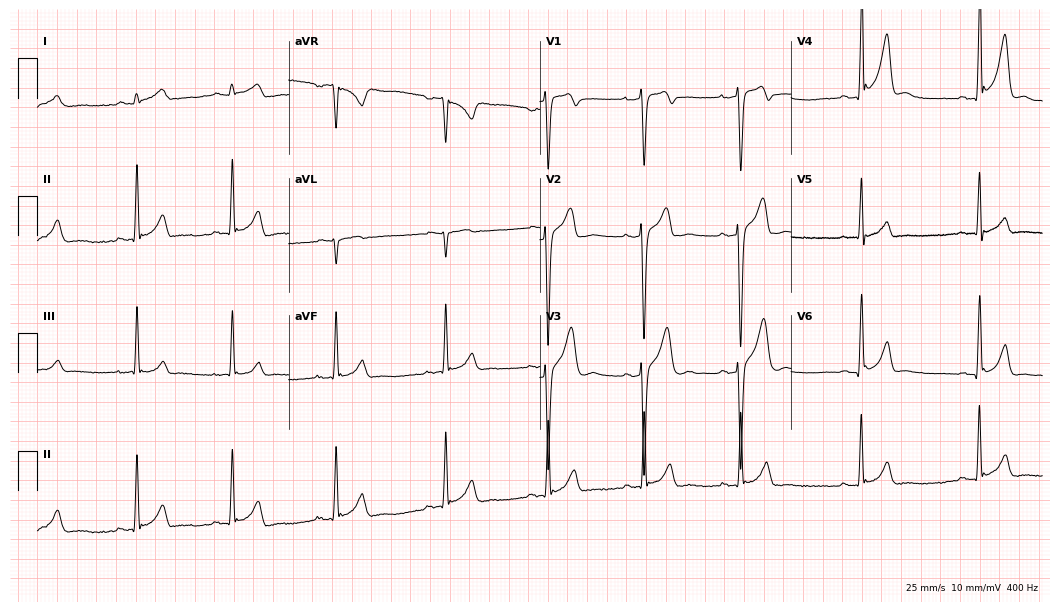
12-lead ECG from a man, 21 years old. Recorded interpretation: within normal limits.